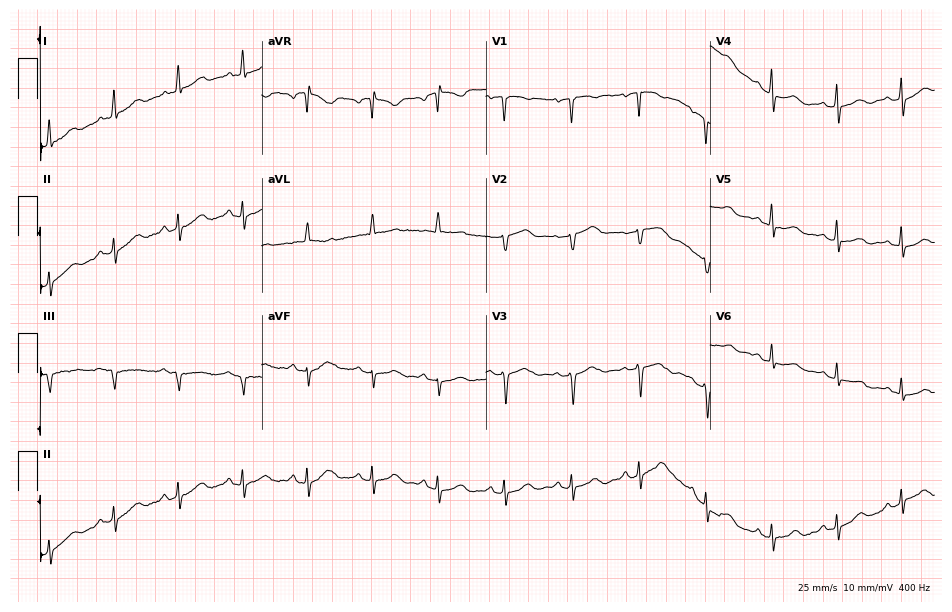
ECG (9.1-second recording at 400 Hz) — a female, 78 years old. Screened for six findings — first-degree AV block, right bundle branch block, left bundle branch block, sinus bradycardia, atrial fibrillation, sinus tachycardia — none is recorded. Other findings, if any, are not listed.